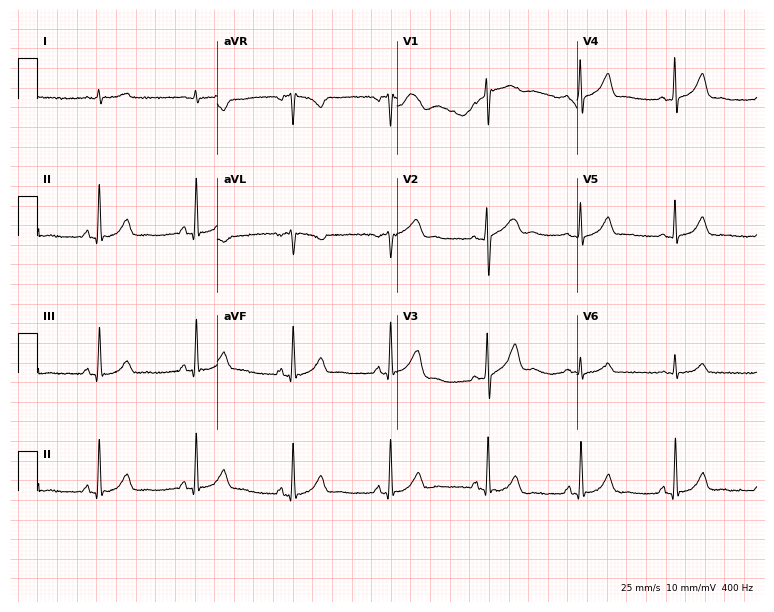
12-lead ECG from a male, 58 years old. Recorded interpretation: within normal limits.